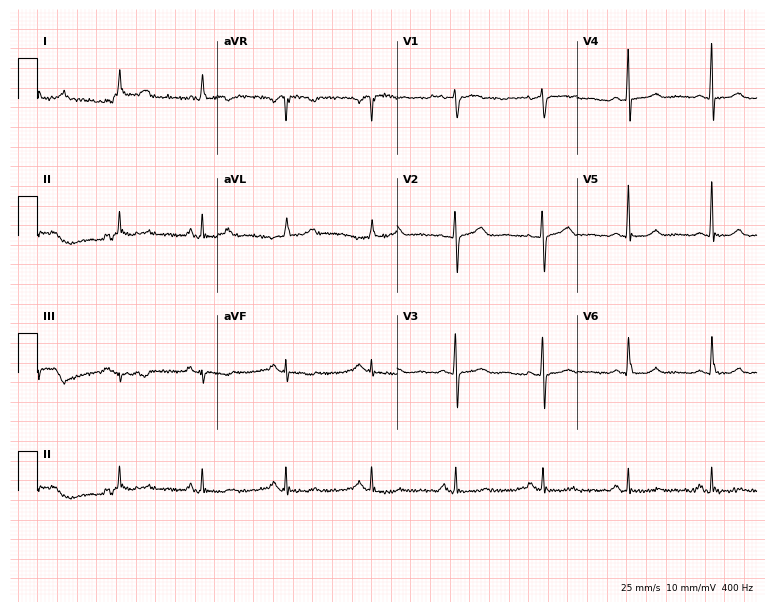
12-lead ECG from a female, 58 years old (7.3-second recording at 400 Hz). No first-degree AV block, right bundle branch block (RBBB), left bundle branch block (LBBB), sinus bradycardia, atrial fibrillation (AF) or sinus tachycardia recorded for this tracing. Only these six findings were labelled.